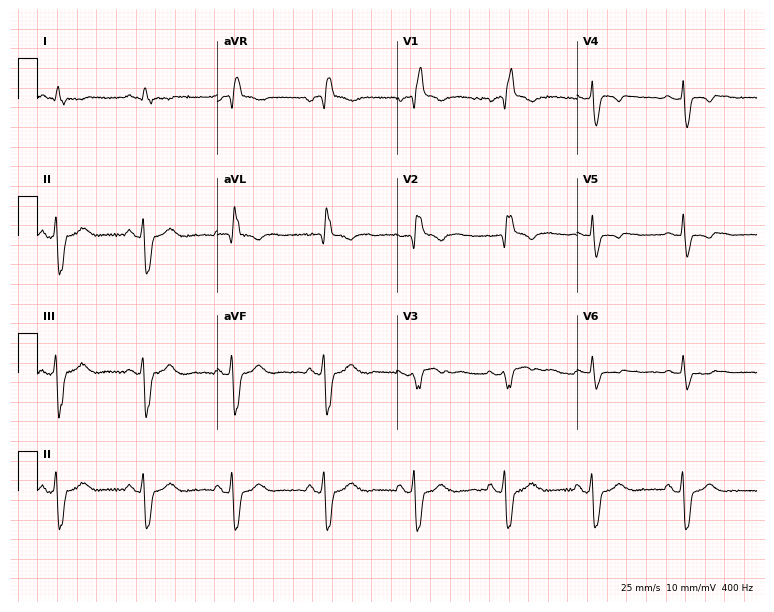
Electrocardiogram, a 65-year-old male patient. Of the six screened findings (first-degree AV block, right bundle branch block, left bundle branch block, sinus bradycardia, atrial fibrillation, sinus tachycardia), none is recorded. Findings outside these six are not listed.